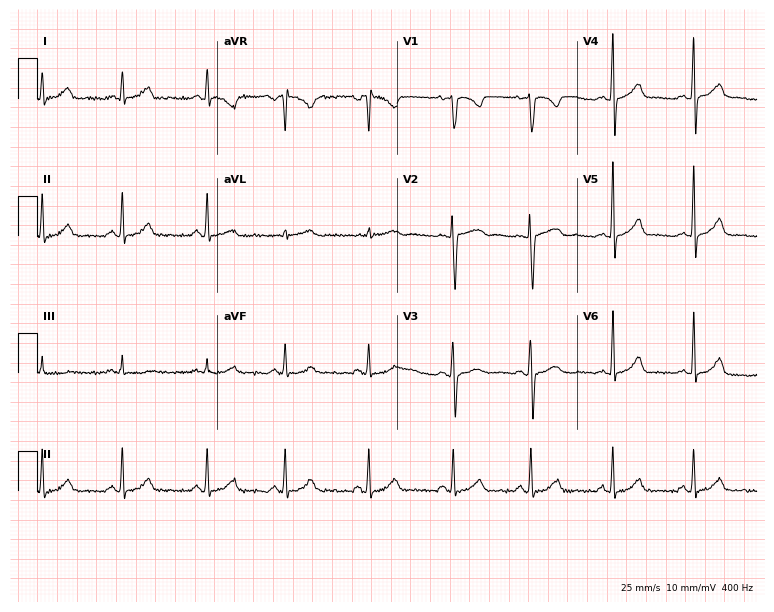
12-lead ECG (7.3-second recording at 400 Hz) from a 28-year-old female. Screened for six findings — first-degree AV block, right bundle branch block (RBBB), left bundle branch block (LBBB), sinus bradycardia, atrial fibrillation (AF), sinus tachycardia — none is recorded. Only these six findings were labelled.